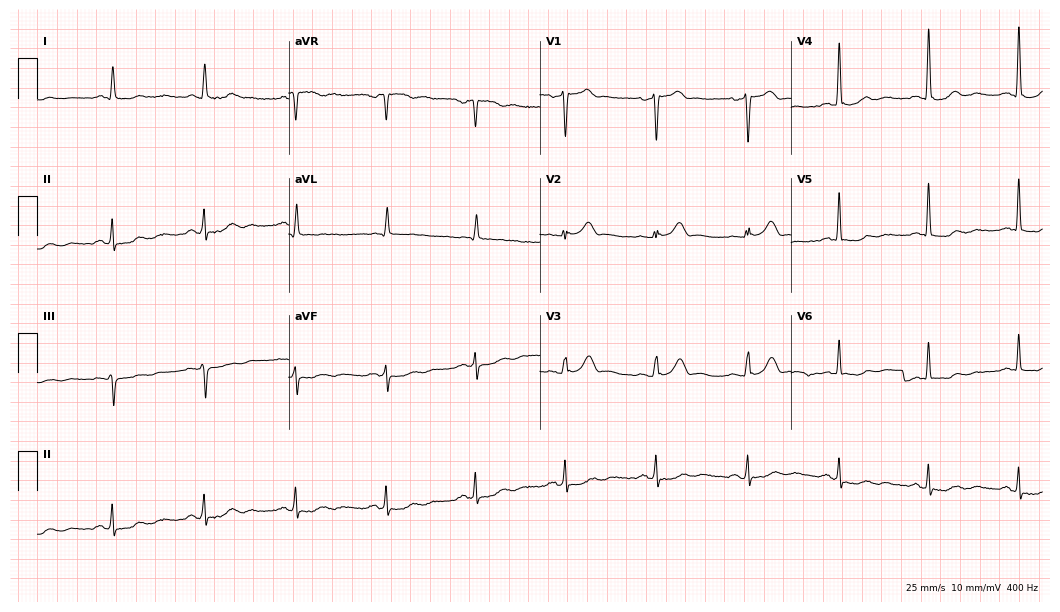
12-lead ECG from a man, 60 years old. Screened for six findings — first-degree AV block, right bundle branch block, left bundle branch block, sinus bradycardia, atrial fibrillation, sinus tachycardia — none is recorded.